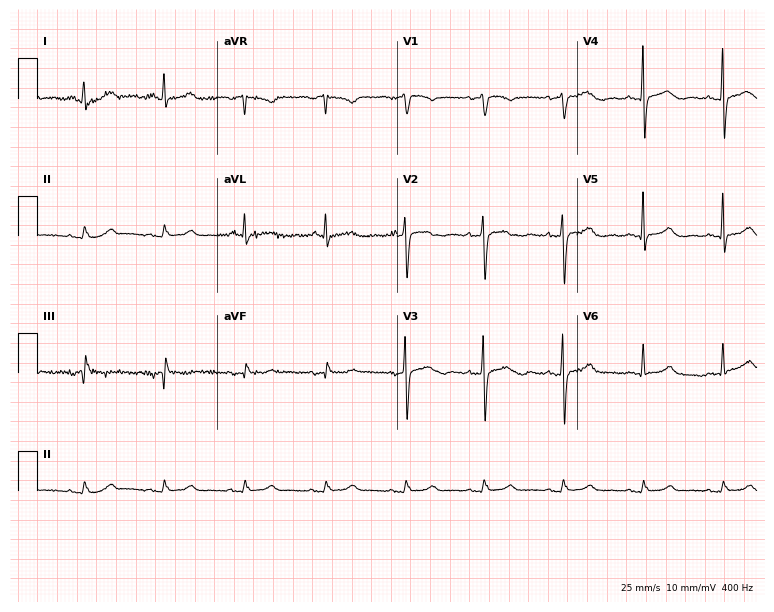
Resting 12-lead electrocardiogram (7.3-second recording at 400 Hz). Patient: a female, 71 years old. Read as a normal ECG.